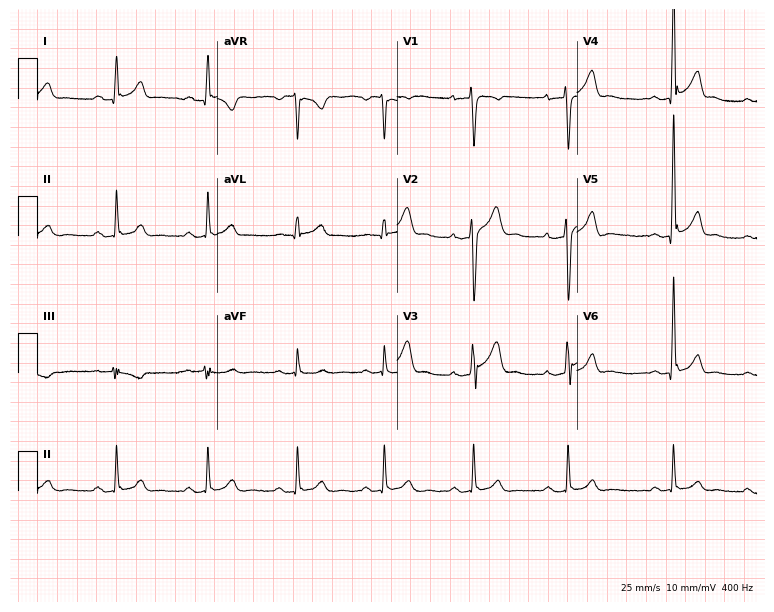
12-lead ECG from a 31-year-old man (7.3-second recording at 400 Hz). No first-degree AV block, right bundle branch block, left bundle branch block, sinus bradycardia, atrial fibrillation or sinus tachycardia recorded for this tracing. Findings outside these six are not listed.